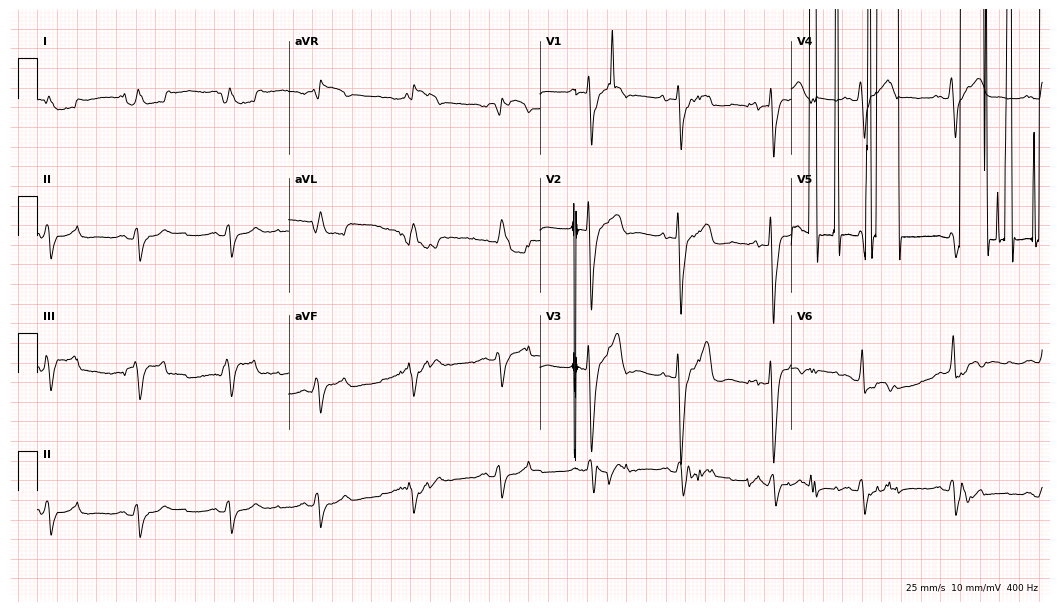
ECG (10.2-second recording at 400 Hz) — a female, 75 years old. Screened for six findings — first-degree AV block, right bundle branch block, left bundle branch block, sinus bradycardia, atrial fibrillation, sinus tachycardia — none is recorded.